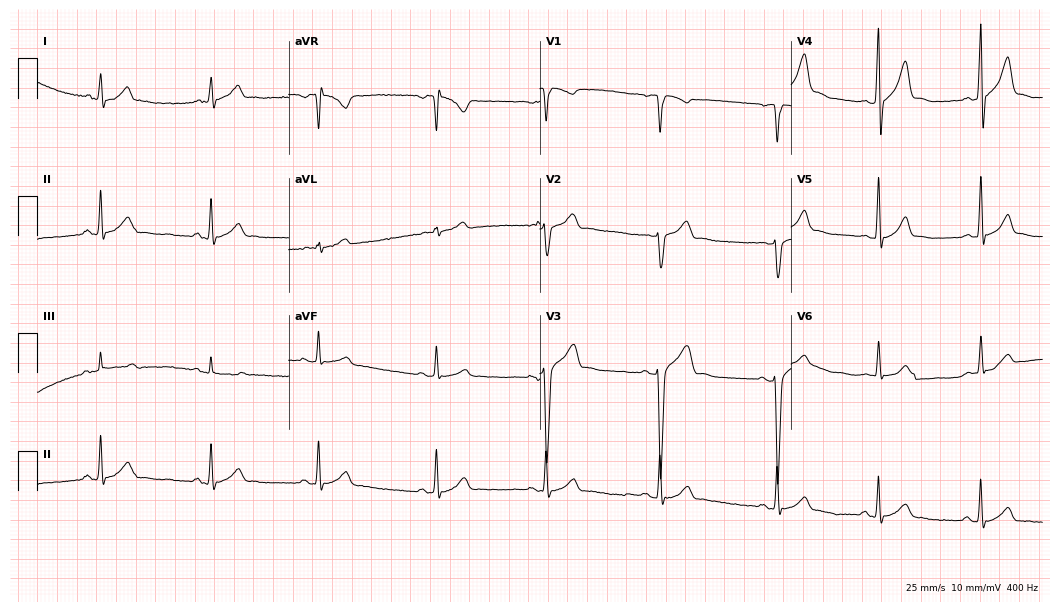
ECG (10.2-second recording at 400 Hz) — an 18-year-old male patient. Labelled as a normal ECG.